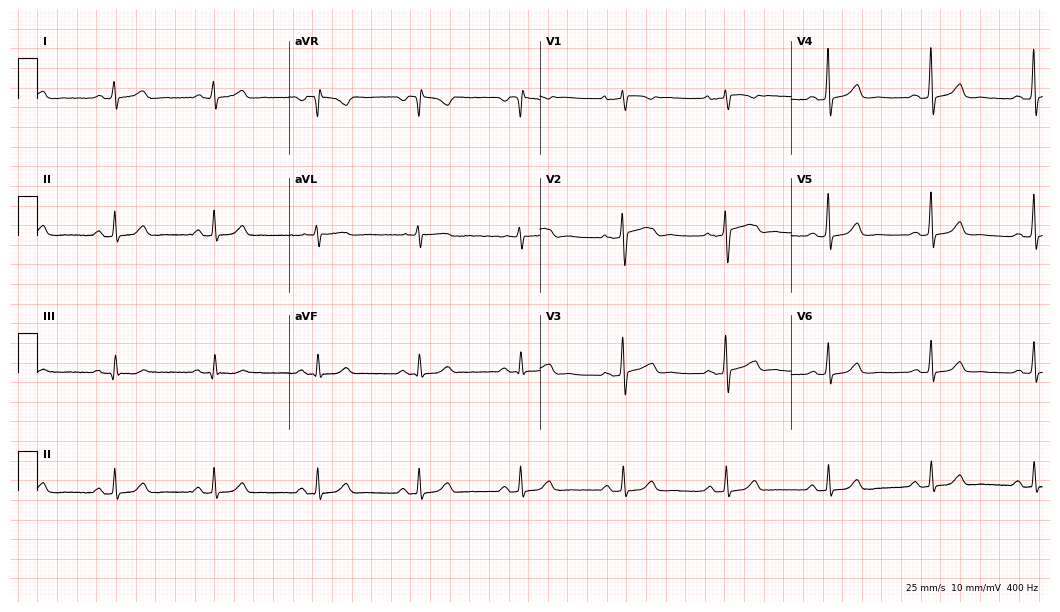
Electrocardiogram, a female patient, 56 years old. Overall reading on record: normal ECG.